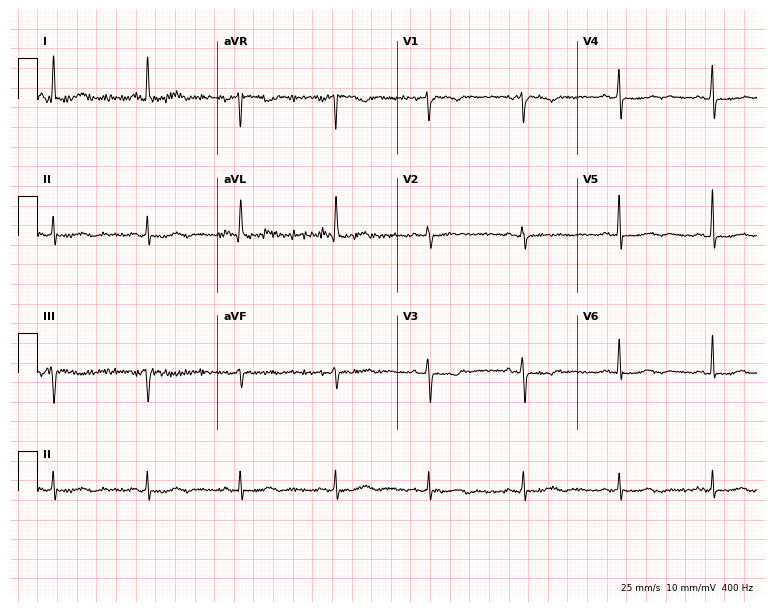
Standard 12-lead ECG recorded from a 69-year-old female patient (7.3-second recording at 400 Hz). None of these six findings is recorded: first-degree AV block, right bundle branch block (RBBB), left bundle branch block (LBBB), sinus bradycardia, atrial fibrillation (AF), sinus tachycardia.